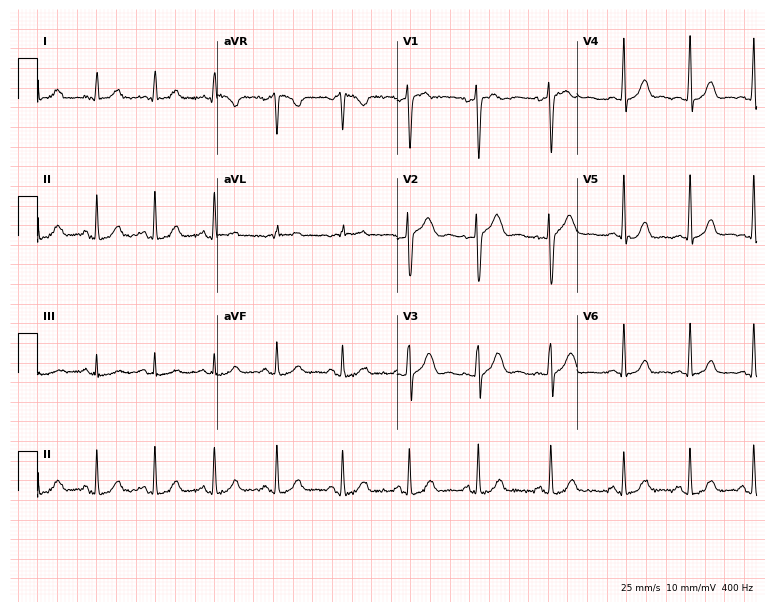
12-lead ECG from a 36-year-old female patient. Recorded interpretation: within normal limits.